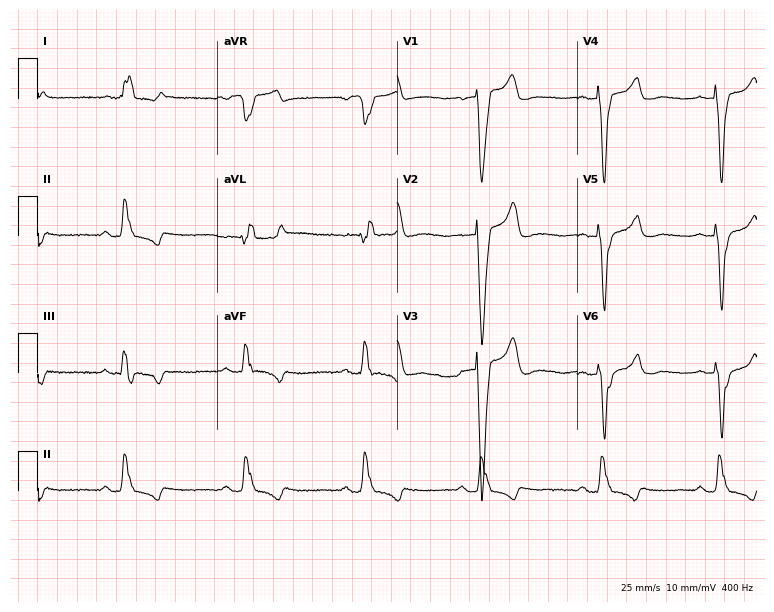
Resting 12-lead electrocardiogram (7.3-second recording at 400 Hz). Patient: a female, 73 years old. None of these six findings is recorded: first-degree AV block, right bundle branch block, left bundle branch block, sinus bradycardia, atrial fibrillation, sinus tachycardia.